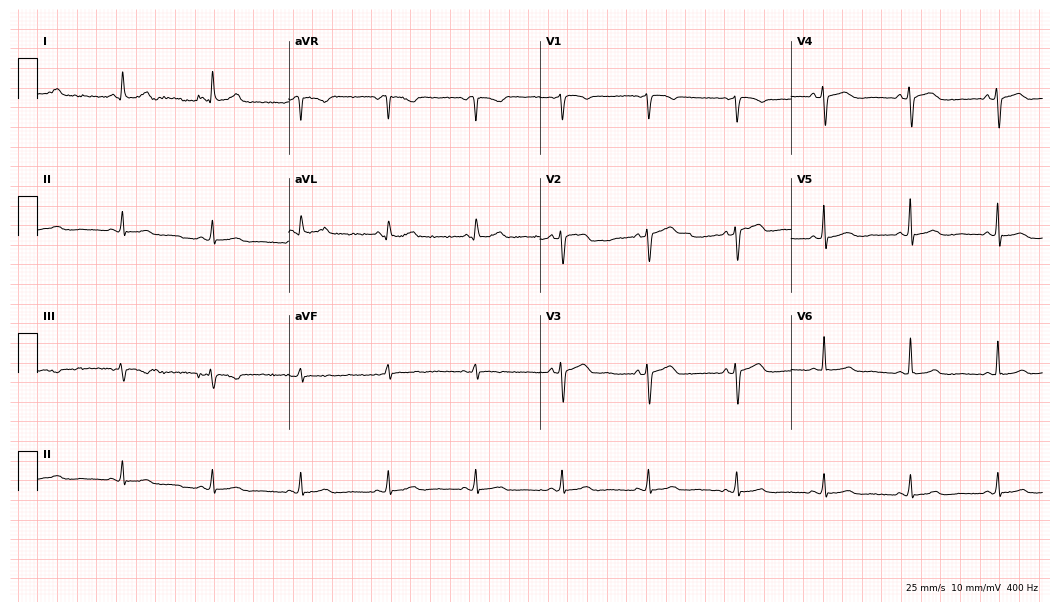
Resting 12-lead electrocardiogram. Patient: a woman, 64 years old. Read as a normal ECG.